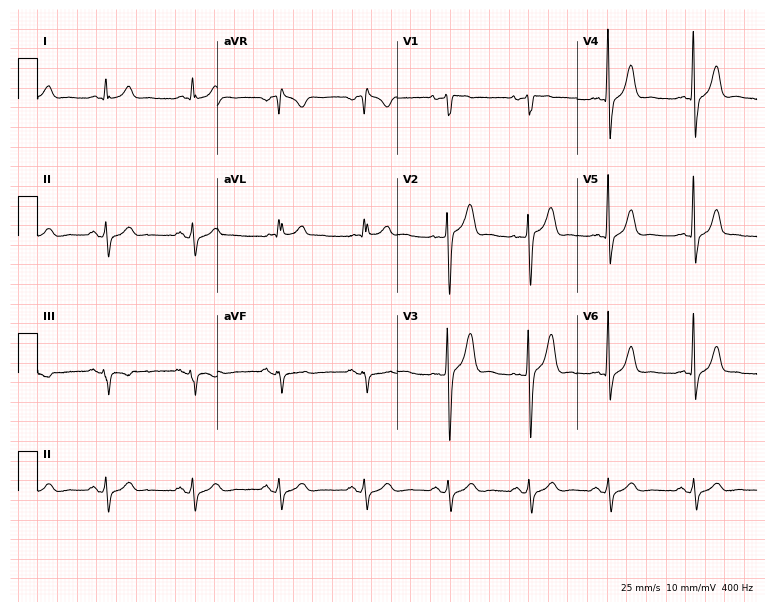
Electrocardiogram (7.3-second recording at 400 Hz), a male, 52 years old. Of the six screened findings (first-degree AV block, right bundle branch block (RBBB), left bundle branch block (LBBB), sinus bradycardia, atrial fibrillation (AF), sinus tachycardia), none is recorded. Only these six findings were labelled.